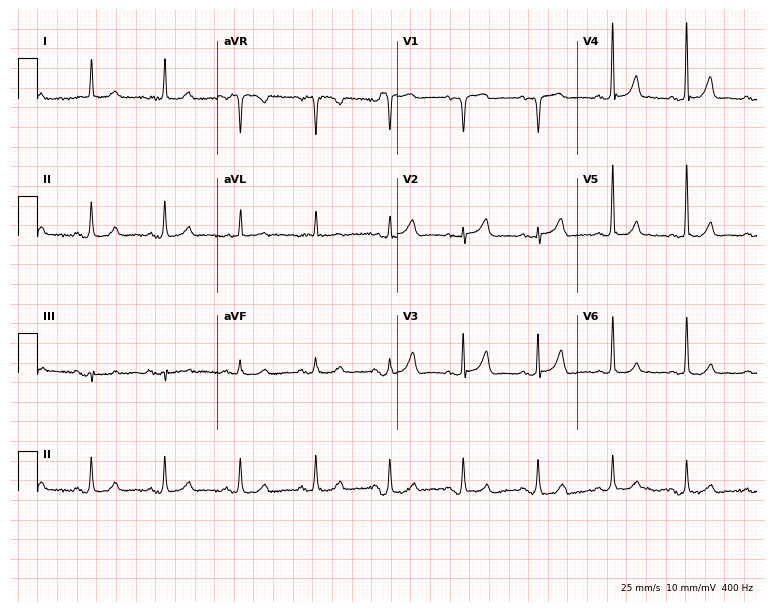
12-lead ECG from a 75-year-old female patient (7.3-second recording at 400 Hz). No first-degree AV block, right bundle branch block (RBBB), left bundle branch block (LBBB), sinus bradycardia, atrial fibrillation (AF) or sinus tachycardia recorded for this tracing.